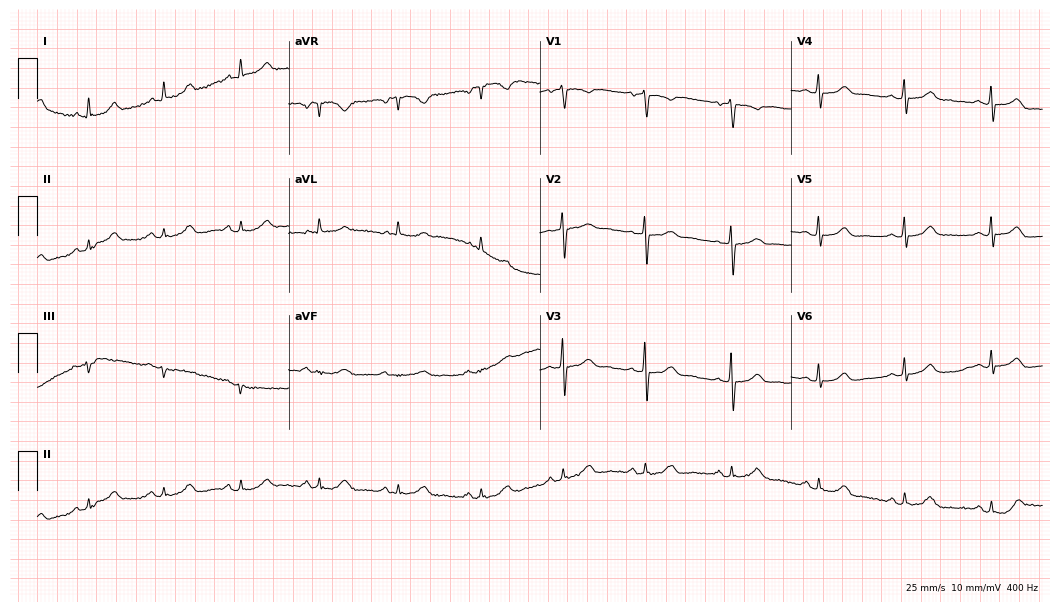
12-lead ECG from a woman, 61 years old. Labelled as a normal ECG.